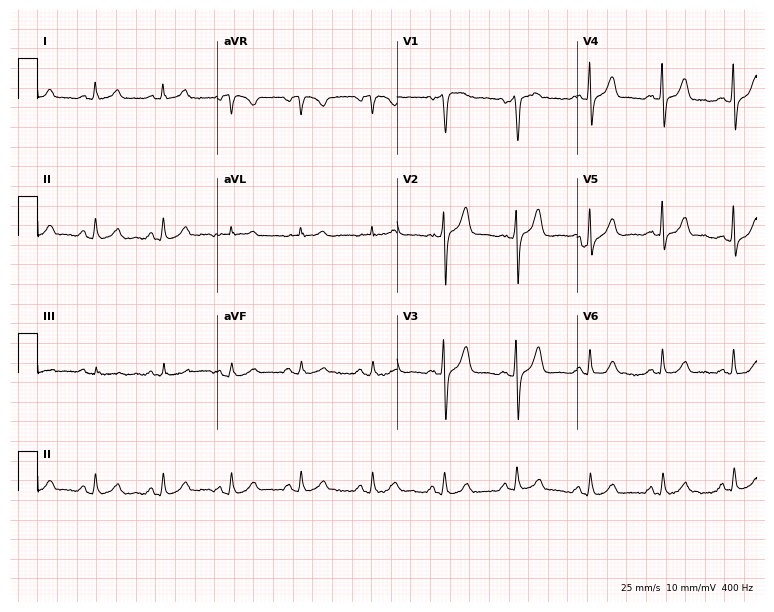
Electrocardiogram (7.3-second recording at 400 Hz), a female patient, 52 years old. Overall reading on record: normal ECG.